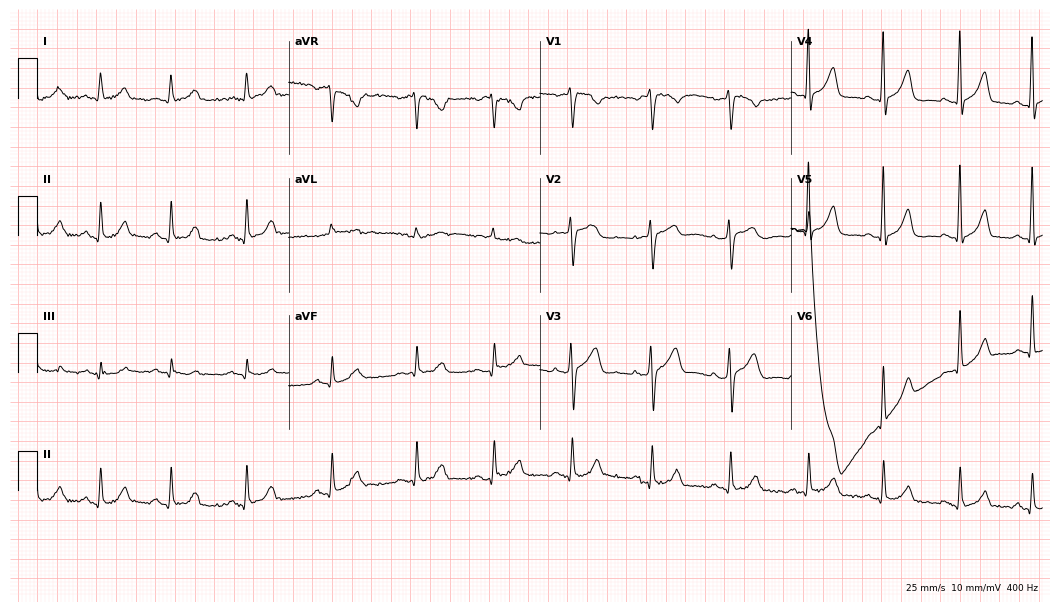
12-lead ECG (10.2-second recording at 400 Hz) from a 50-year-old woman. Screened for six findings — first-degree AV block, right bundle branch block, left bundle branch block, sinus bradycardia, atrial fibrillation, sinus tachycardia — none is recorded. Only these six findings were labelled.